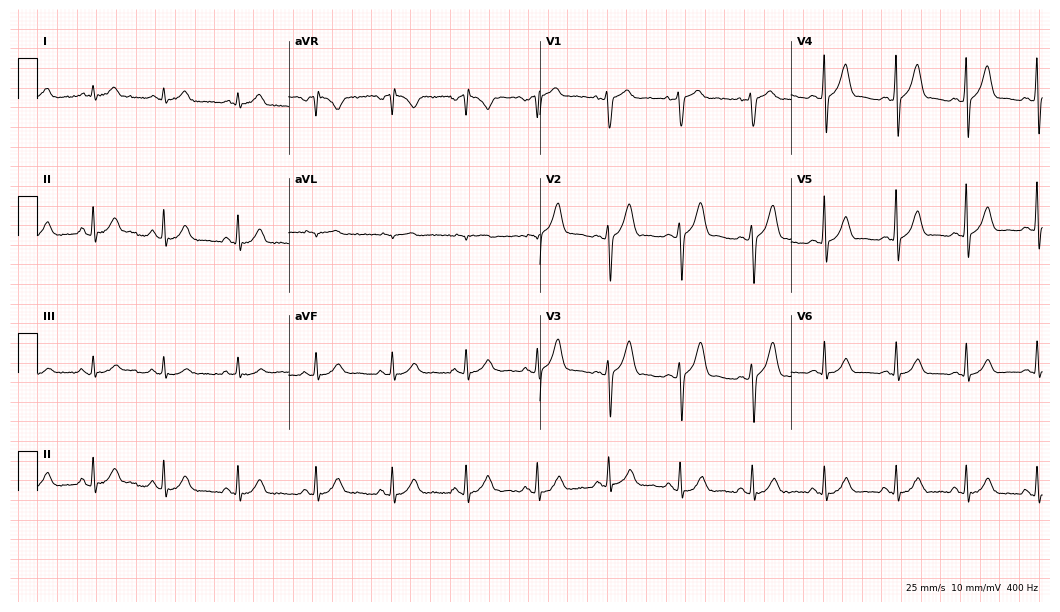
Resting 12-lead electrocardiogram. Patient: a man, 30 years old. Read as a normal ECG.